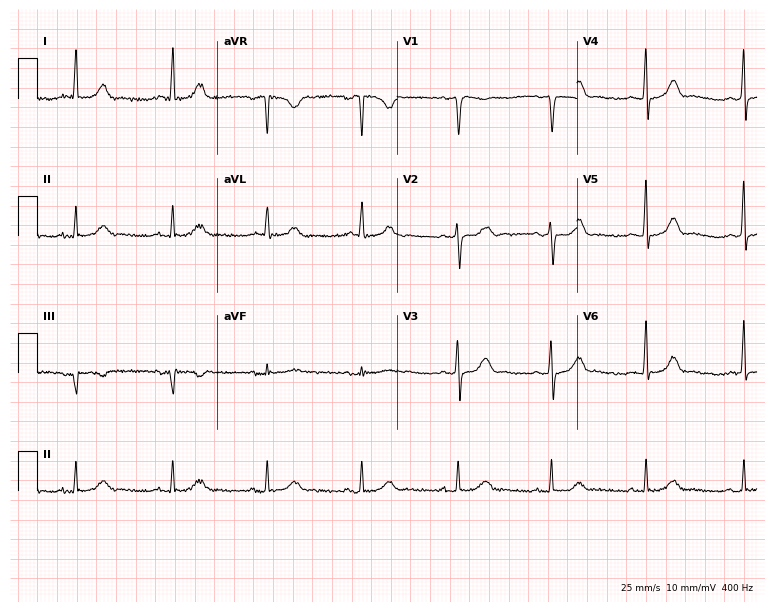
12-lead ECG from a 59-year-old female patient (7.3-second recording at 400 Hz). No first-degree AV block, right bundle branch block (RBBB), left bundle branch block (LBBB), sinus bradycardia, atrial fibrillation (AF) or sinus tachycardia recorded for this tracing. Other findings, if any, are not listed.